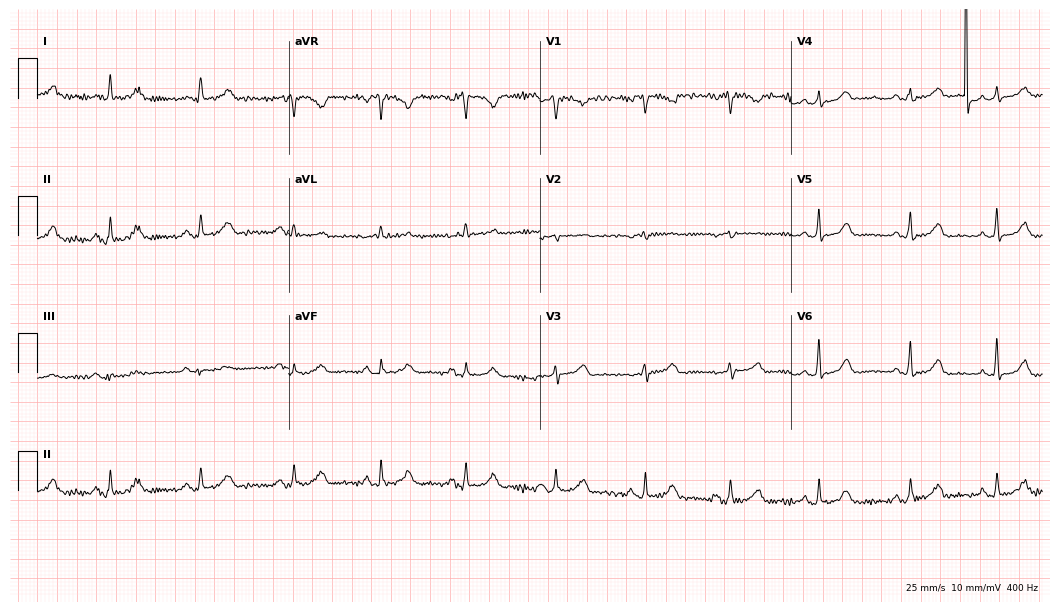
12-lead ECG from a 60-year-old female (10.2-second recording at 400 Hz). No first-degree AV block, right bundle branch block (RBBB), left bundle branch block (LBBB), sinus bradycardia, atrial fibrillation (AF) or sinus tachycardia recorded for this tracing. Only these six findings were labelled.